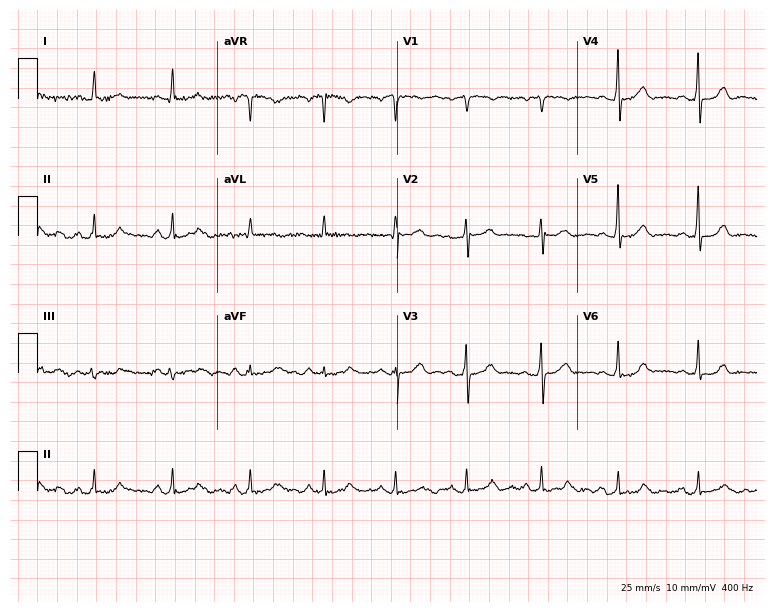
ECG — a 74-year-old female. Labelled as a normal ECG.